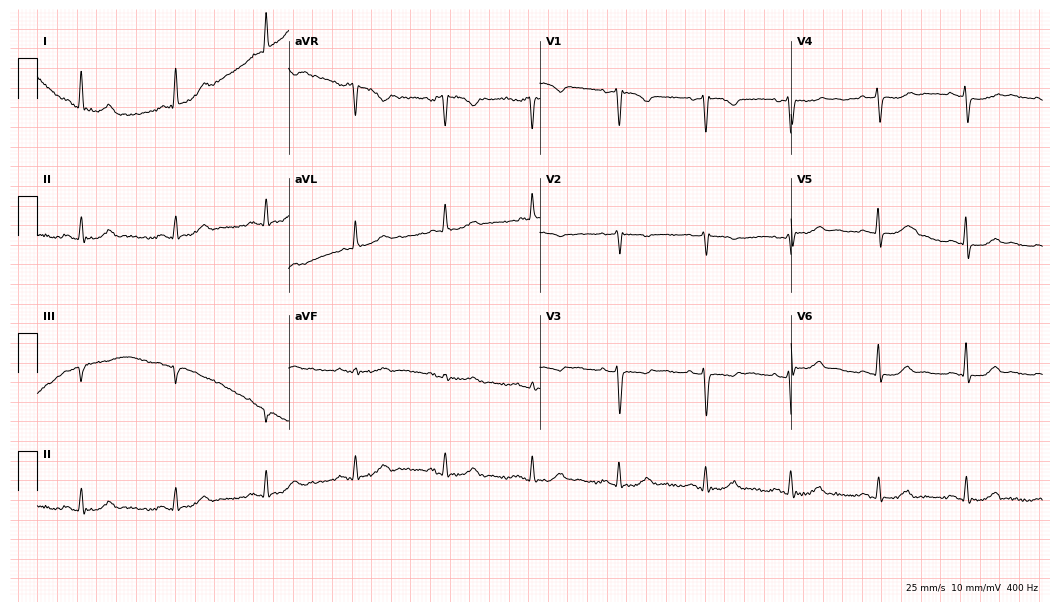
12-lead ECG (10.2-second recording at 400 Hz) from a female, 55 years old. Screened for six findings — first-degree AV block, right bundle branch block, left bundle branch block, sinus bradycardia, atrial fibrillation, sinus tachycardia — none is recorded. Findings outside these six are not listed.